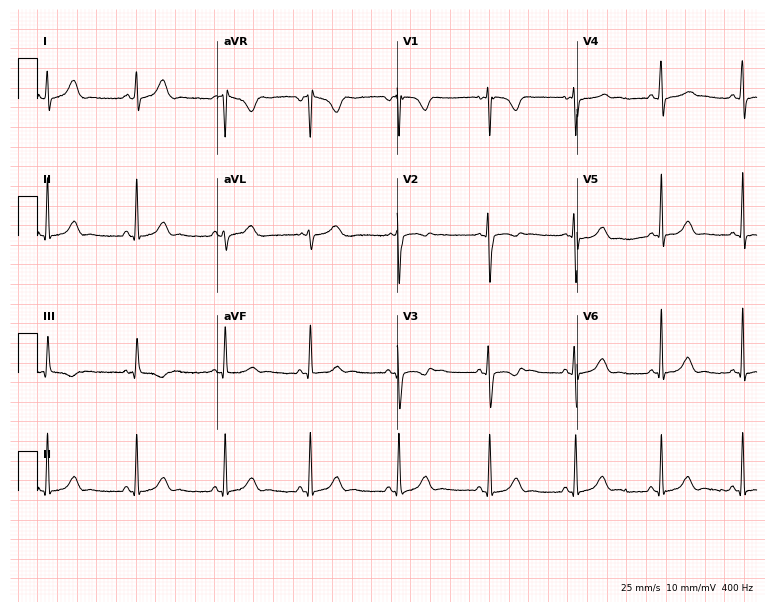
12-lead ECG from a female patient, 26 years old. Screened for six findings — first-degree AV block, right bundle branch block (RBBB), left bundle branch block (LBBB), sinus bradycardia, atrial fibrillation (AF), sinus tachycardia — none is recorded. Findings outside these six are not listed.